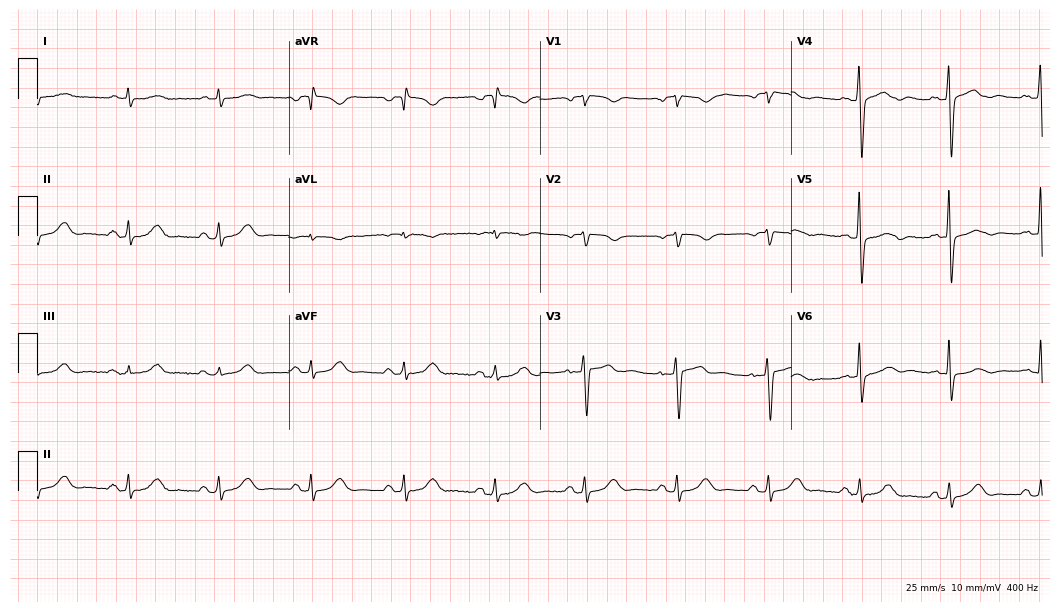
ECG (10.2-second recording at 400 Hz) — a 68-year-old male patient. Screened for six findings — first-degree AV block, right bundle branch block, left bundle branch block, sinus bradycardia, atrial fibrillation, sinus tachycardia — none is recorded. Other findings, if any, are not listed.